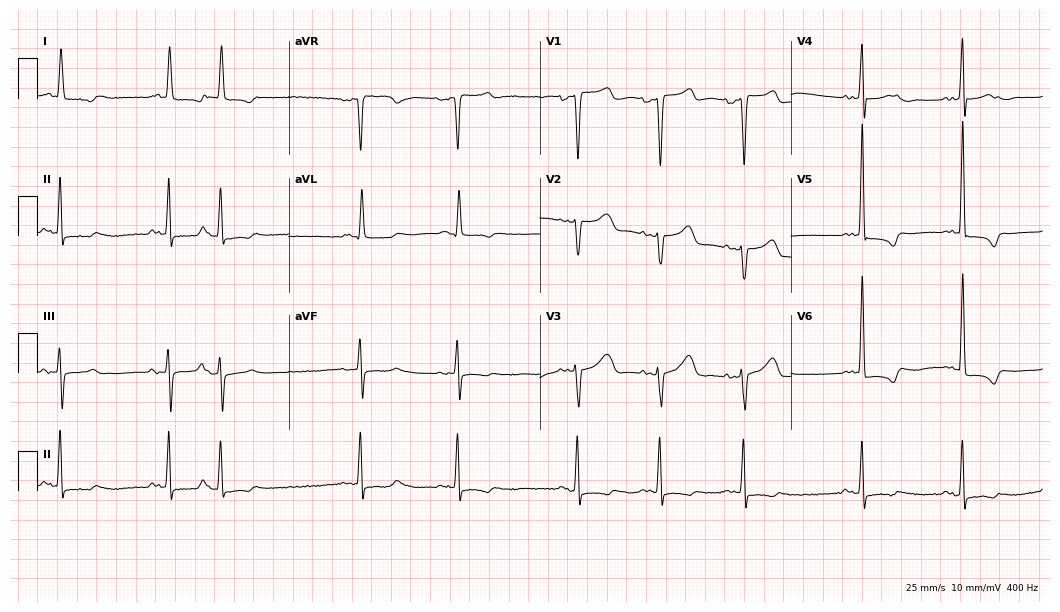
12-lead ECG from a female, 75 years old. Screened for six findings — first-degree AV block, right bundle branch block (RBBB), left bundle branch block (LBBB), sinus bradycardia, atrial fibrillation (AF), sinus tachycardia — none is recorded.